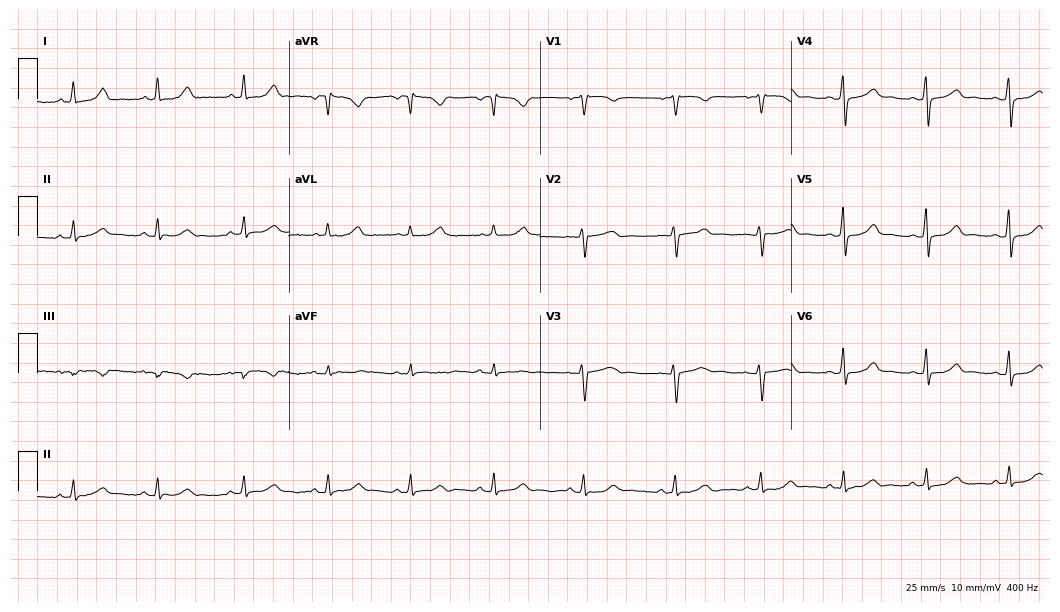
Standard 12-lead ECG recorded from a 40-year-old female patient (10.2-second recording at 400 Hz). Read as a normal ECG.